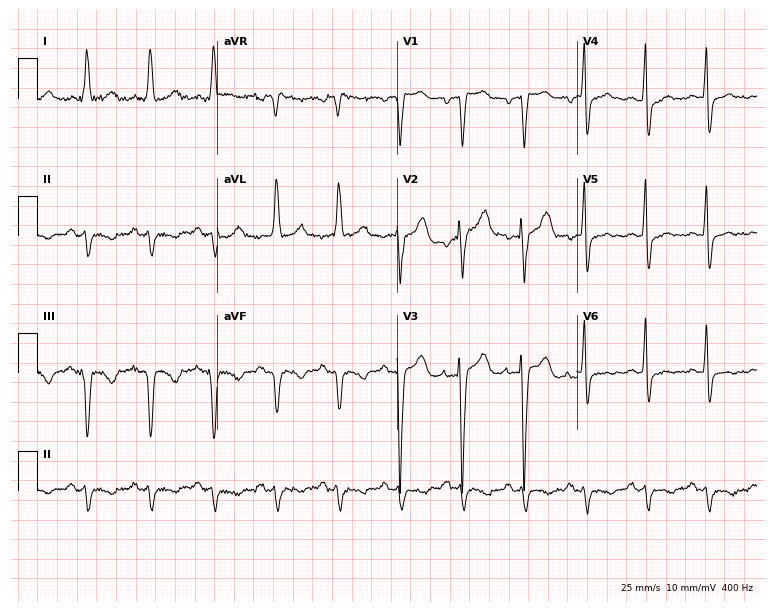
Resting 12-lead electrocardiogram. Patient: a 64-year-old female. None of these six findings is recorded: first-degree AV block, right bundle branch block, left bundle branch block, sinus bradycardia, atrial fibrillation, sinus tachycardia.